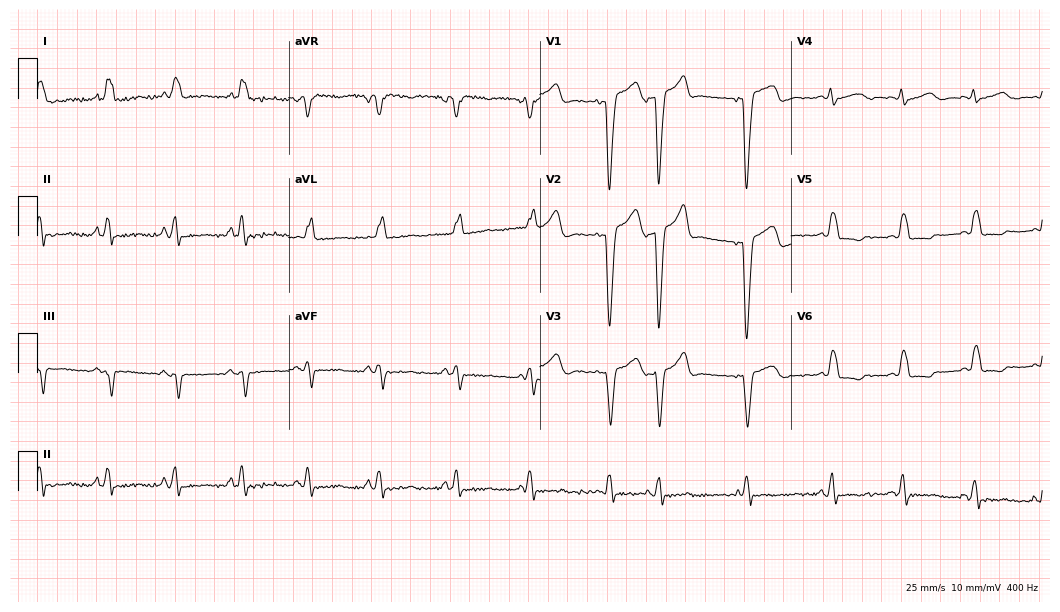
12-lead ECG (10.2-second recording at 400 Hz) from a female patient, 41 years old. Findings include left bundle branch block (LBBB).